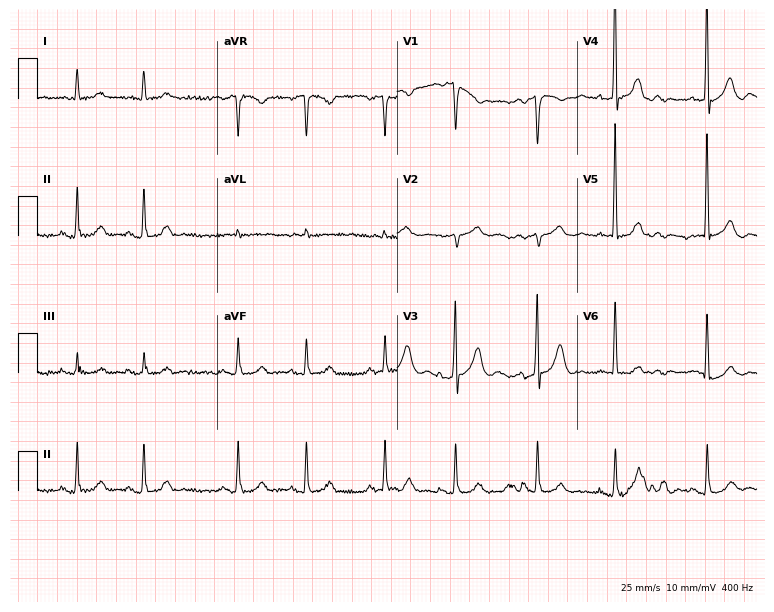
12-lead ECG from a man, 78 years old. No first-degree AV block, right bundle branch block (RBBB), left bundle branch block (LBBB), sinus bradycardia, atrial fibrillation (AF) or sinus tachycardia recorded for this tracing. Findings outside these six are not listed.